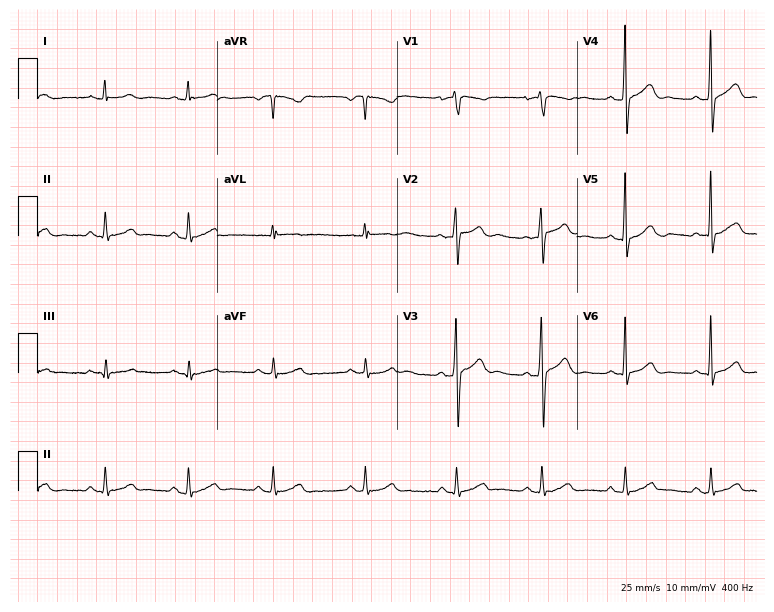
Standard 12-lead ECG recorded from a 38-year-old male patient (7.3-second recording at 400 Hz). None of these six findings is recorded: first-degree AV block, right bundle branch block, left bundle branch block, sinus bradycardia, atrial fibrillation, sinus tachycardia.